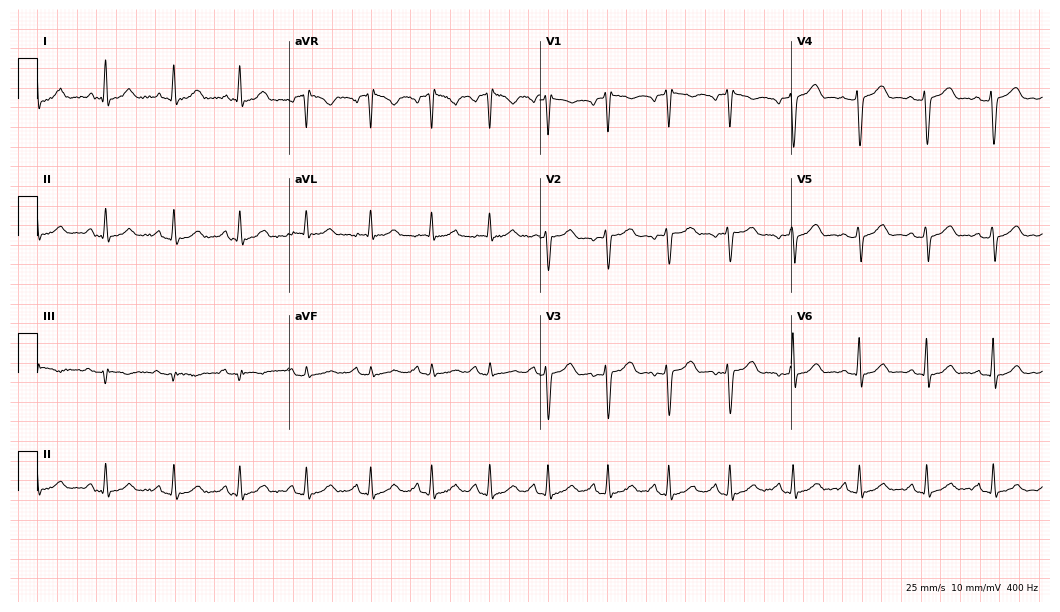
ECG (10.2-second recording at 400 Hz) — a 40-year-old female patient. Labelled as a normal ECG.